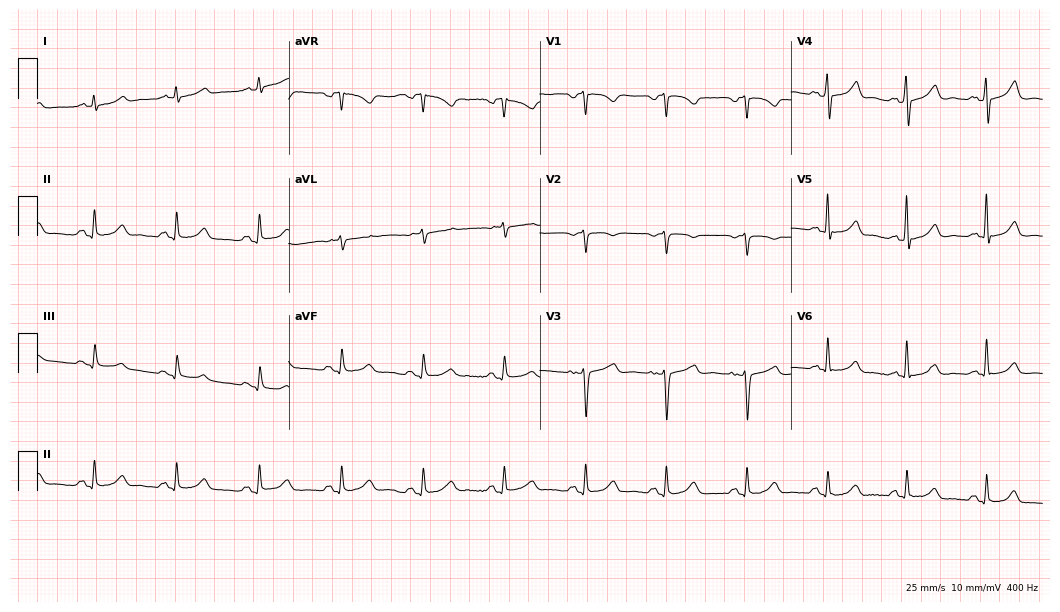
Resting 12-lead electrocardiogram (10.2-second recording at 400 Hz). Patient: a 53-year-old female. Read as a normal ECG.